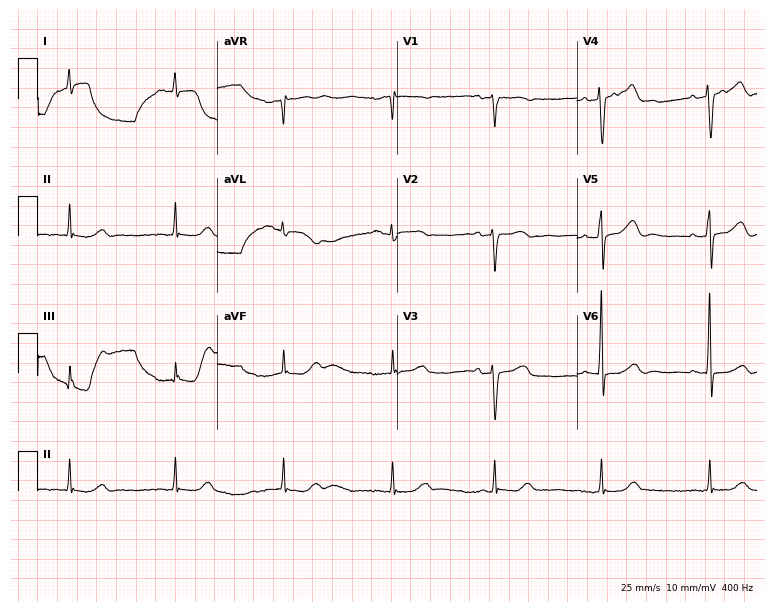
Standard 12-lead ECG recorded from a female patient, 63 years old. Read as a normal ECG.